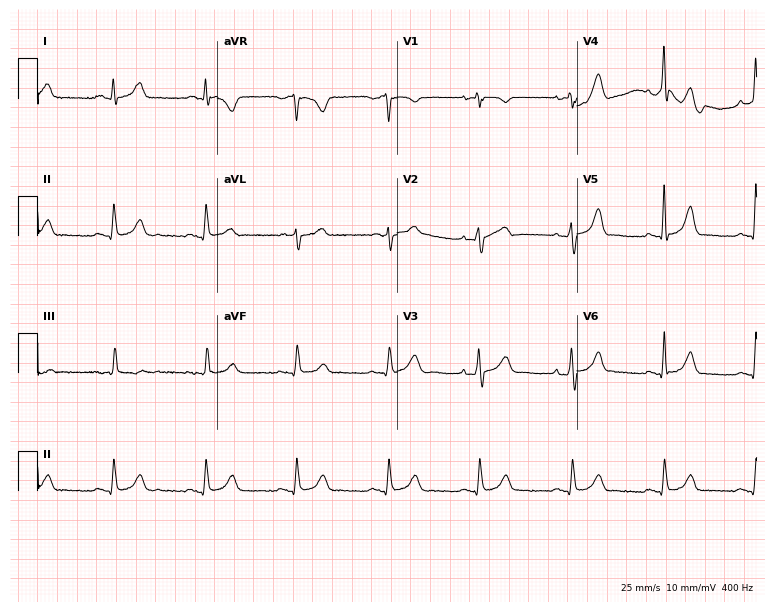
Resting 12-lead electrocardiogram (7.3-second recording at 400 Hz). Patient: a woman, 73 years old. Read as a normal ECG.